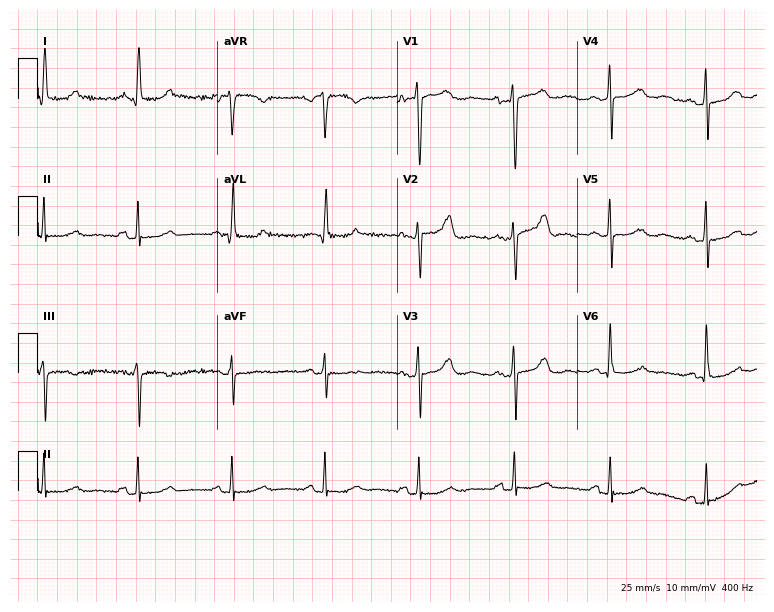
ECG (7.3-second recording at 400 Hz) — a female, 63 years old. Screened for six findings — first-degree AV block, right bundle branch block (RBBB), left bundle branch block (LBBB), sinus bradycardia, atrial fibrillation (AF), sinus tachycardia — none is recorded.